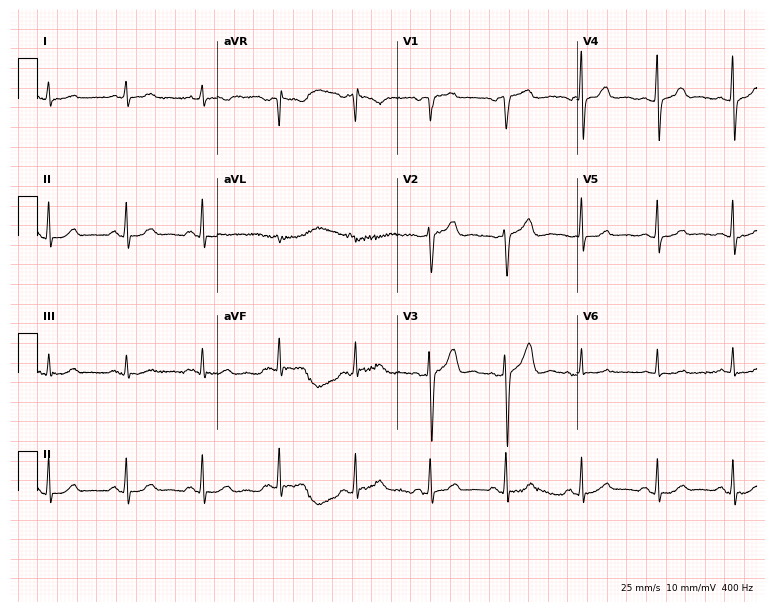
Standard 12-lead ECG recorded from a female, 57 years old (7.3-second recording at 400 Hz). Read as a normal ECG.